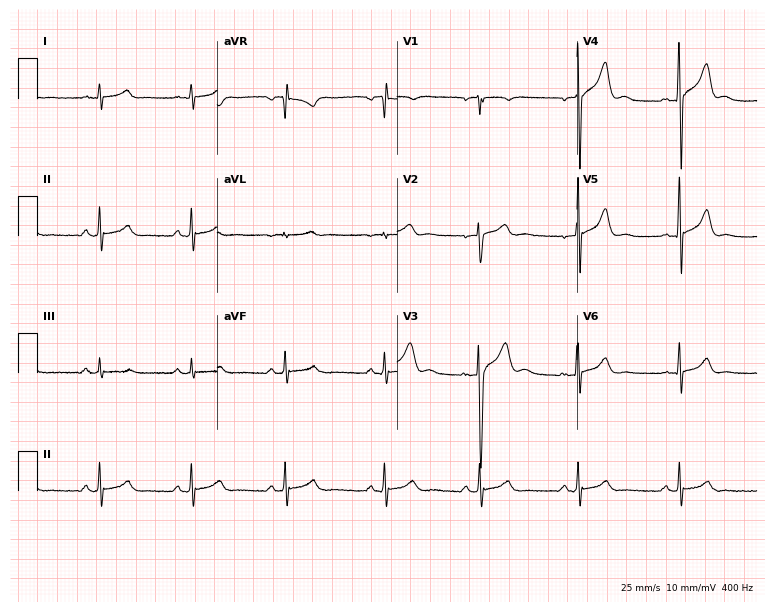
ECG (7.3-second recording at 400 Hz) — a male, 40 years old. Labelled as a normal ECG.